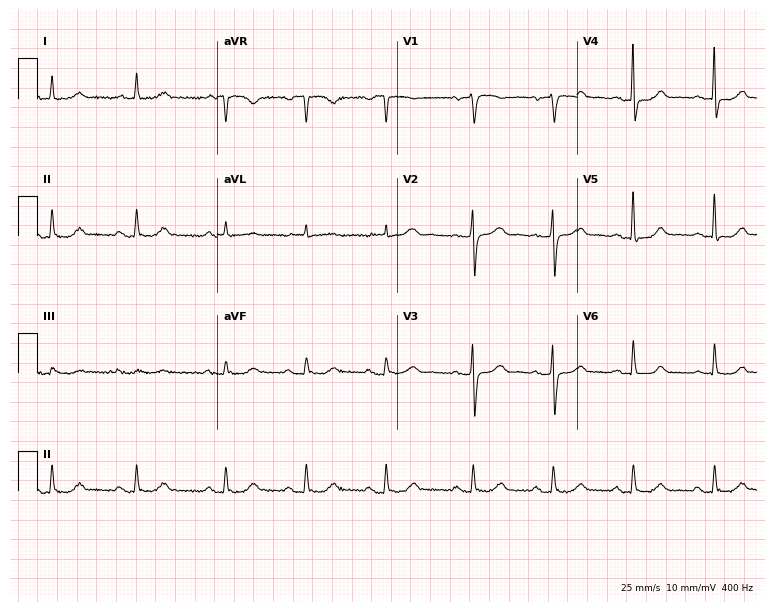
12-lead ECG from a 69-year-old woman (7.3-second recording at 400 Hz). Recorded interpretation: within normal limits.